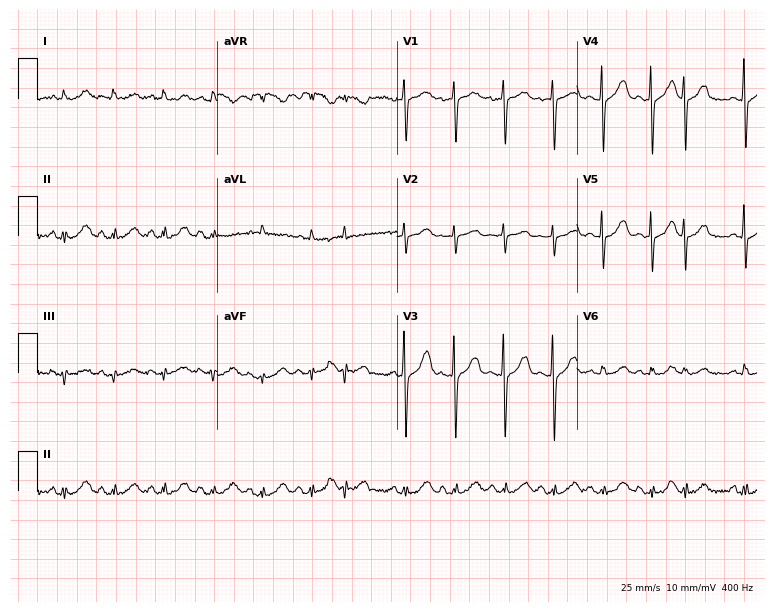
12-lead ECG from an 80-year-old woman (7.3-second recording at 400 Hz). Shows sinus tachycardia (a sinus rate of 100 beats per minute or more).